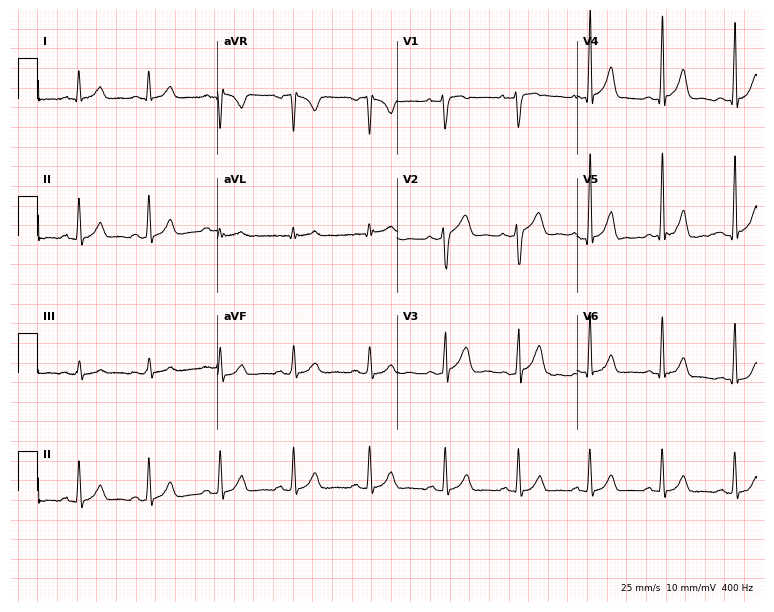
ECG — a man, 26 years old. Labelled as a normal ECG.